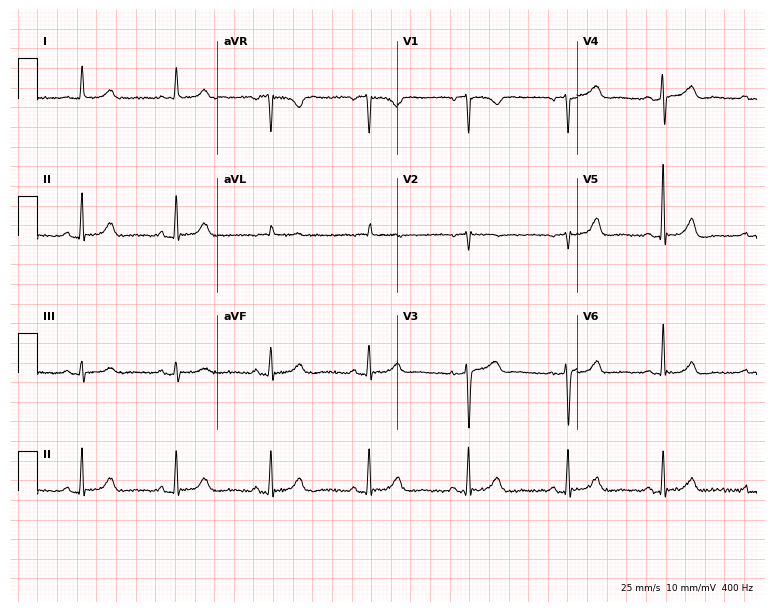
Standard 12-lead ECG recorded from a 73-year-old woman (7.3-second recording at 400 Hz). Read as a normal ECG.